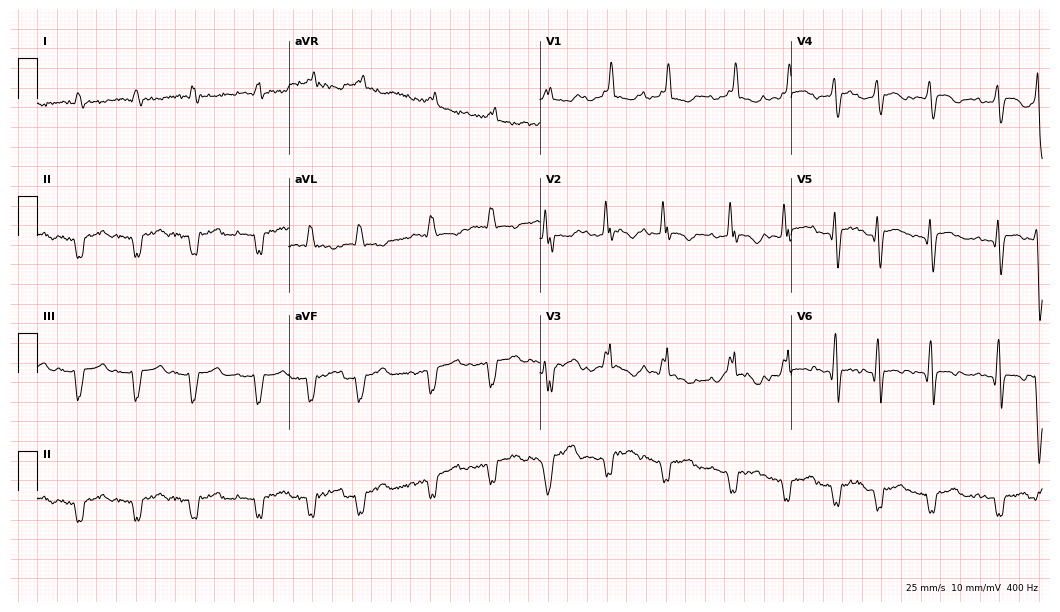
Electrocardiogram, a man, 72 years old. Interpretation includes right bundle branch block, left bundle branch block, atrial fibrillation, sinus tachycardia (a sinus rate of 100 beats per minute or more).